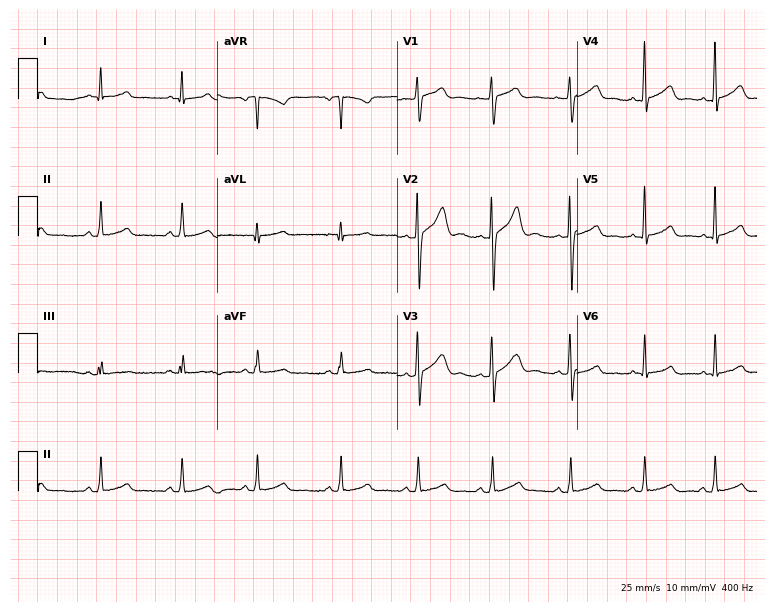
Standard 12-lead ECG recorded from a woman, 19 years old. Read as a normal ECG.